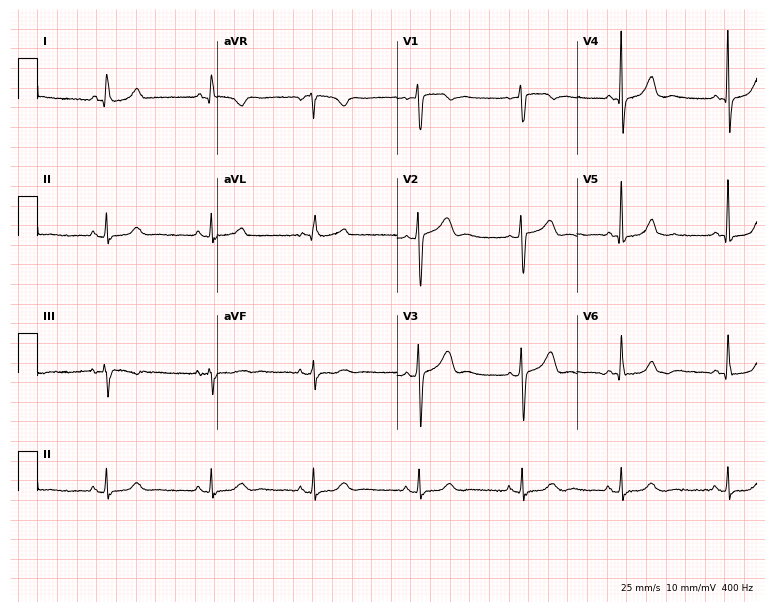
ECG (7.3-second recording at 400 Hz) — a 41-year-old woman. Labelled as a normal ECG.